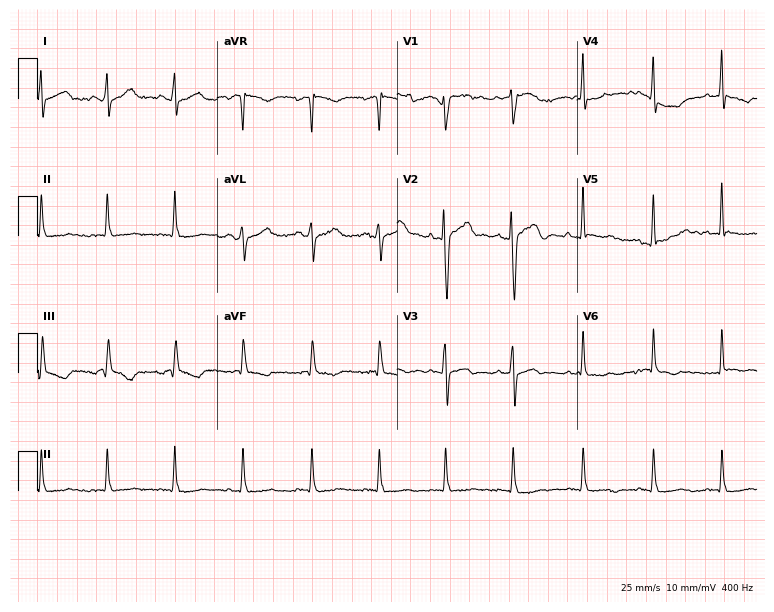
12-lead ECG from a male, 28 years old. Screened for six findings — first-degree AV block, right bundle branch block, left bundle branch block, sinus bradycardia, atrial fibrillation, sinus tachycardia — none is recorded.